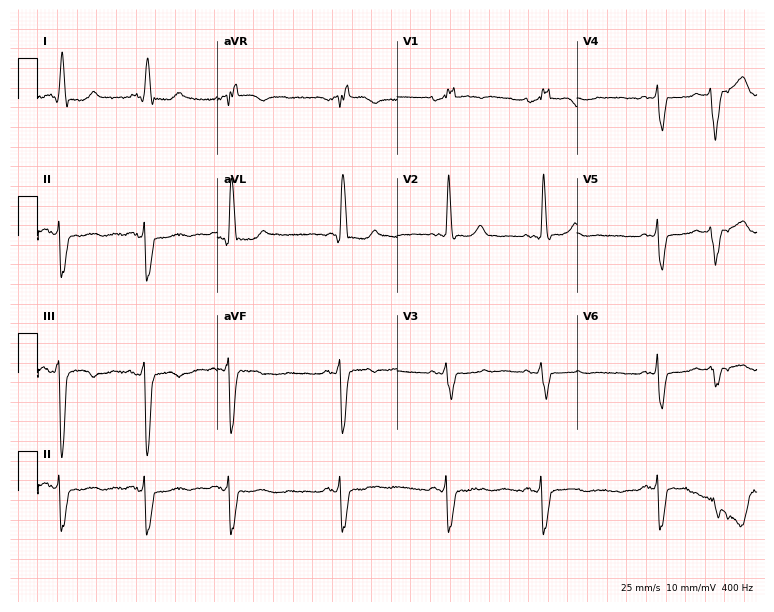
12-lead ECG from a woman, 79 years old (7.3-second recording at 400 Hz). Shows right bundle branch block (RBBB), left bundle branch block (LBBB).